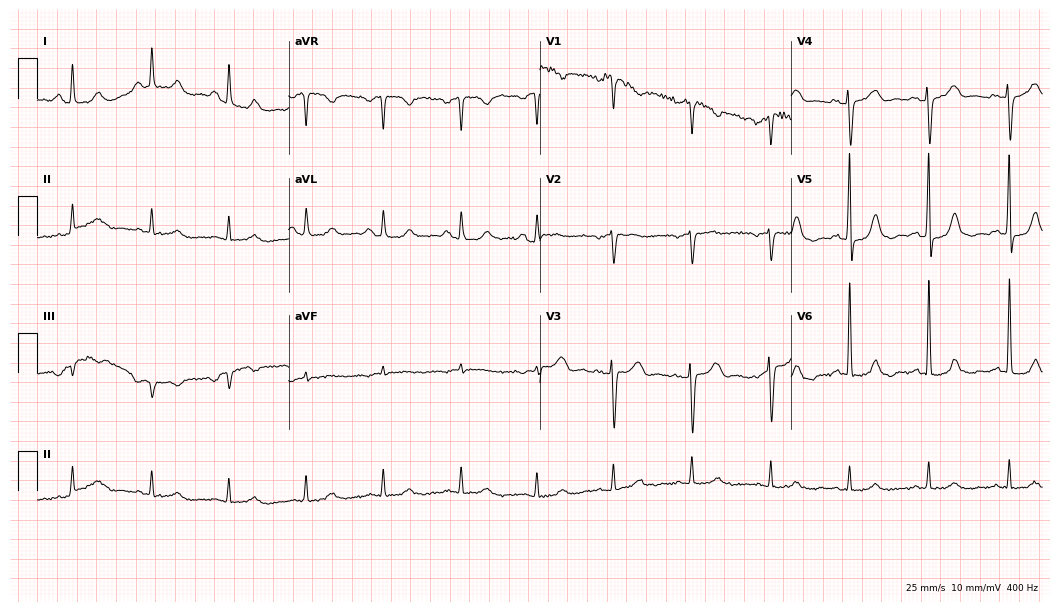
Electrocardiogram (10.2-second recording at 400 Hz), a 72-year-old female. Overall reading on record: normal ECG.